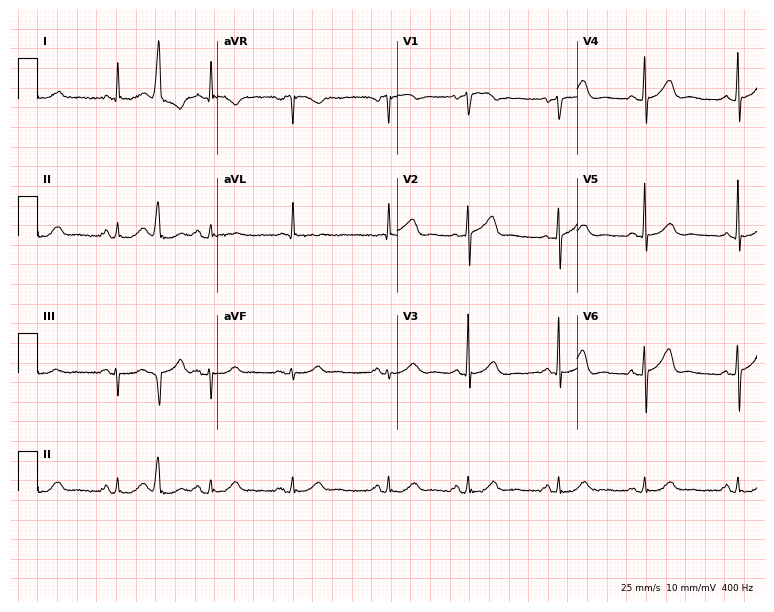
12-lead ECG from a male patient, 85 years old. Recorded interpretation: within normal limits.